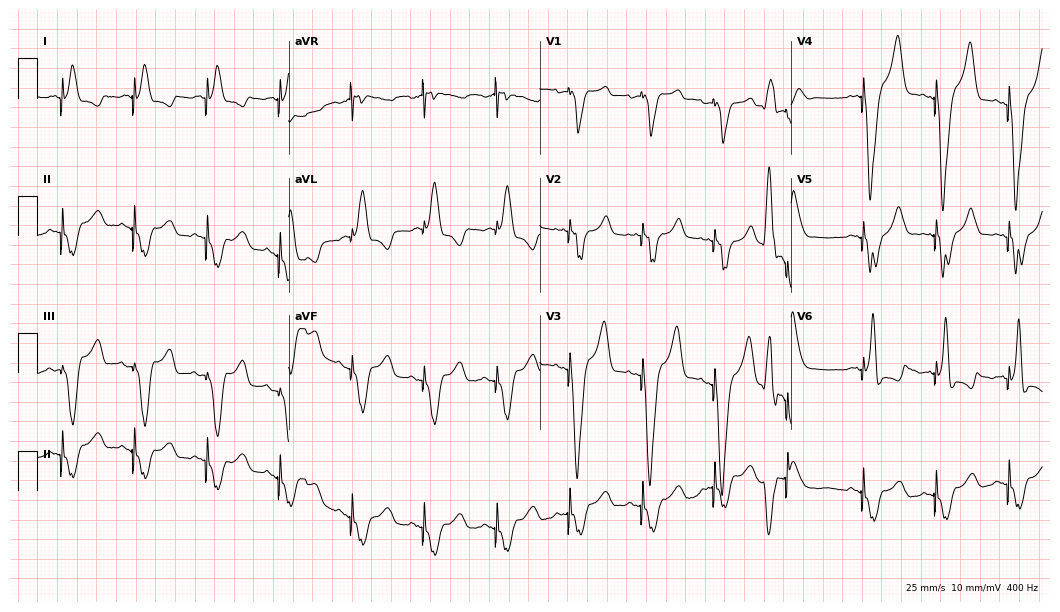
Resting 12-lead electrocardiogram. Patient: an 80-year-old female. None of these six findings is recorded: first-degree AV block, right bundle branch block (RBBB), left bundle branch block (LBBB), sinus bradycardia, atrial fibrillation (AF), sinus tachycardia.